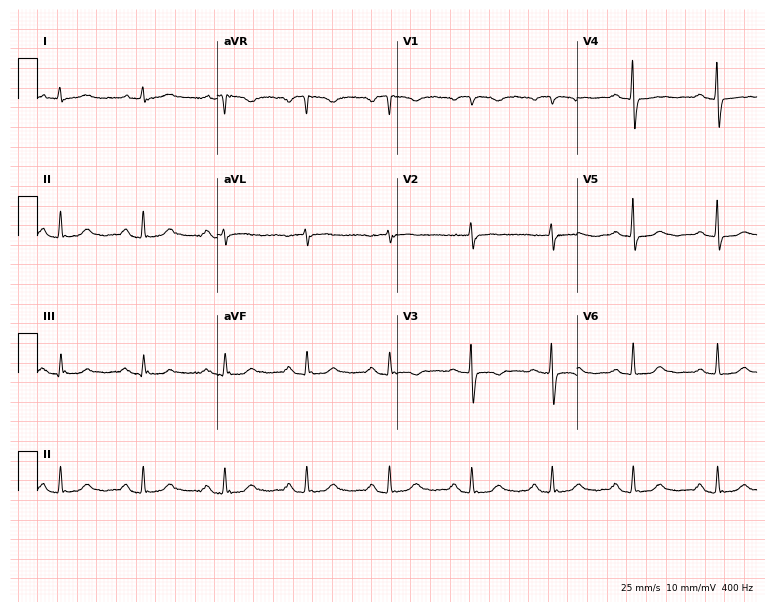
ECG — a woman, 82 years old. Labelled as a normal ECG.